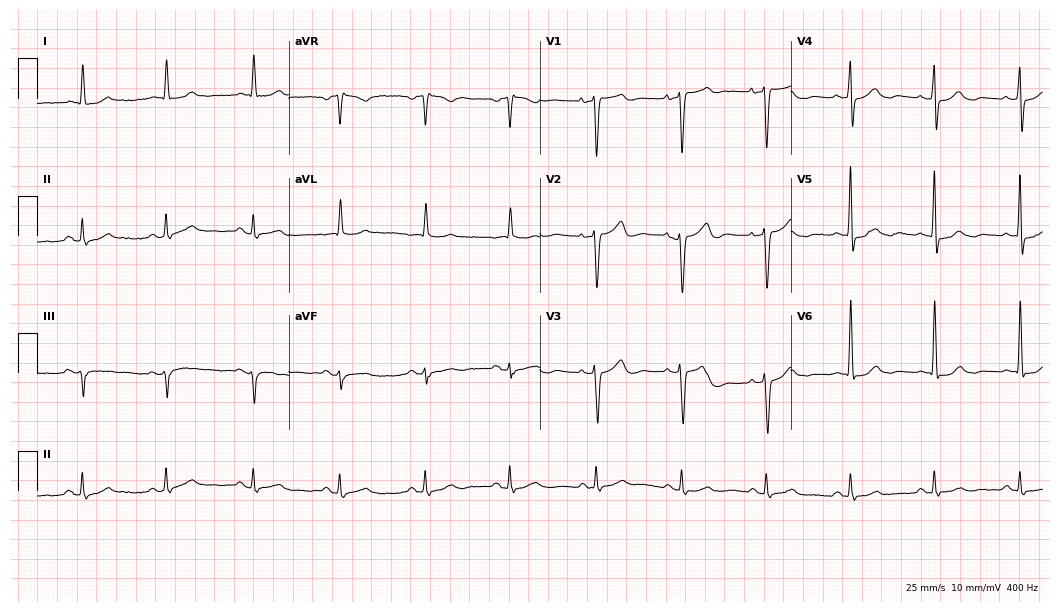
ECG (10.2-second recording at 400 Hz) — an 80-year-old male. Screened for six findings — first-degree AV block, right bundle branch block, left bundle branch block, sinus bradycardia, atrial fibrillation, sinus tachycardia — none is recorded. Other findings, if any, are not listed.